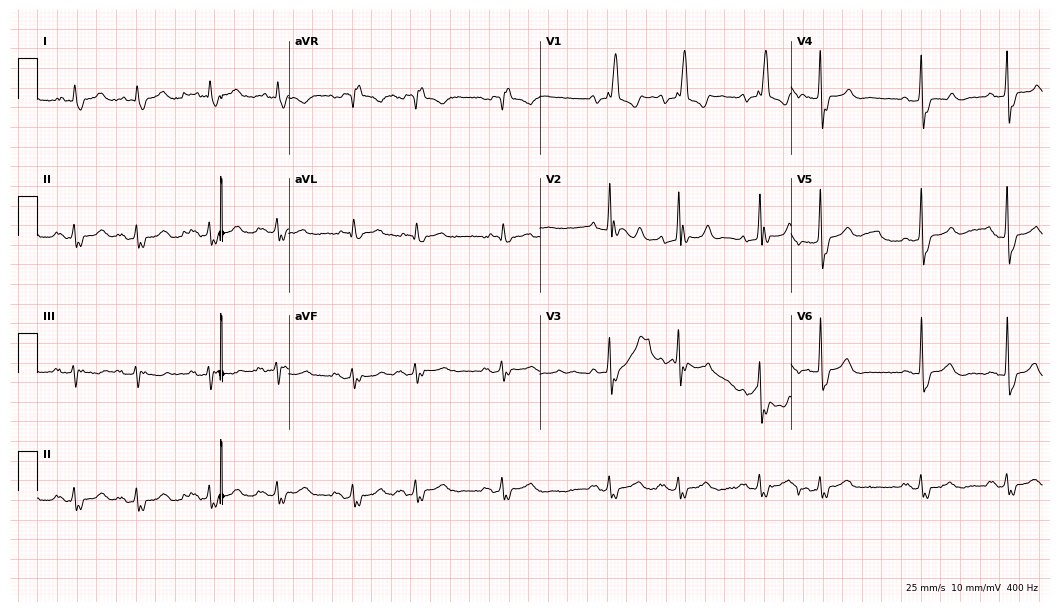
Resting 12-lead electrocardiogram (10.2-second recording at 400 Hz). Patient: an 83-year-old male. The tracing shows right bundle branch block.